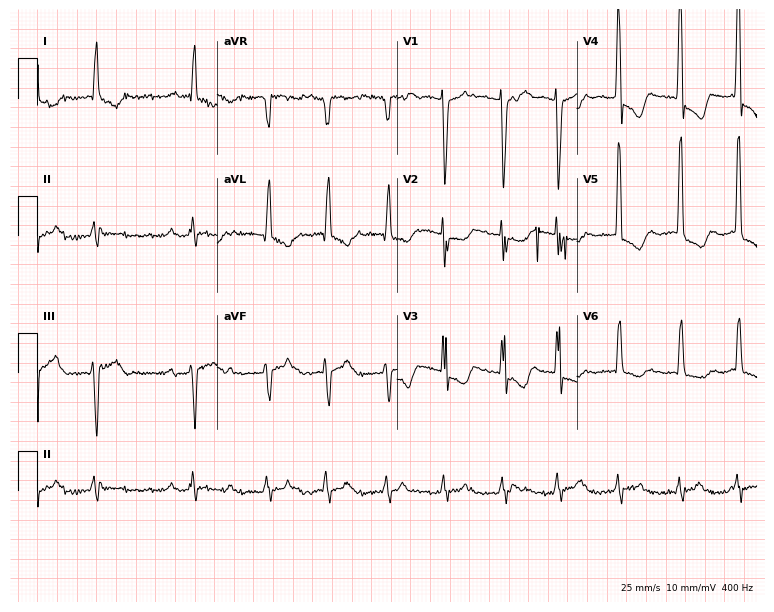
ECG (7.3-second recording at 400 Hz) — a 77-year-old man. Screened for six findings — first-degree AV block, right bundle branch block, left bundle branch block, sinus bradycardia, atrial fibrillation, sinus tachycardia — none is recorded.